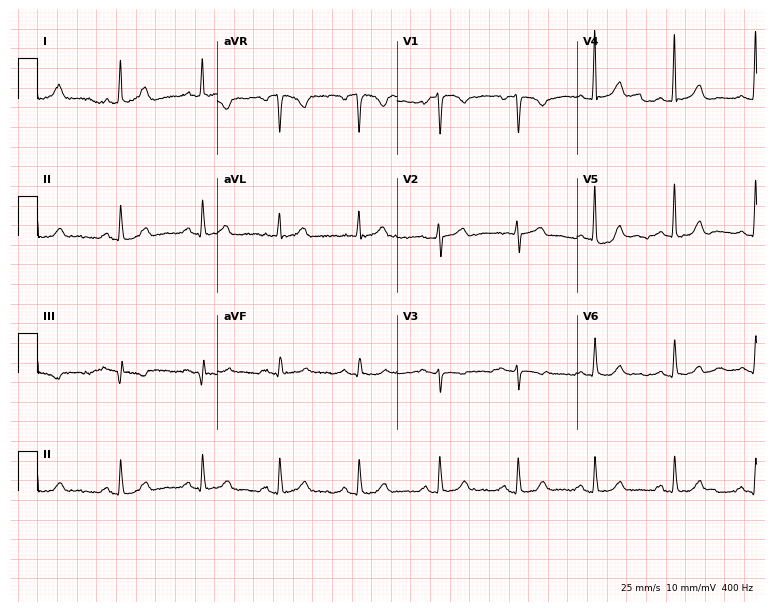
Electrocardiogram, a 46-year-old woman. Overall reading on record: normal ECG.